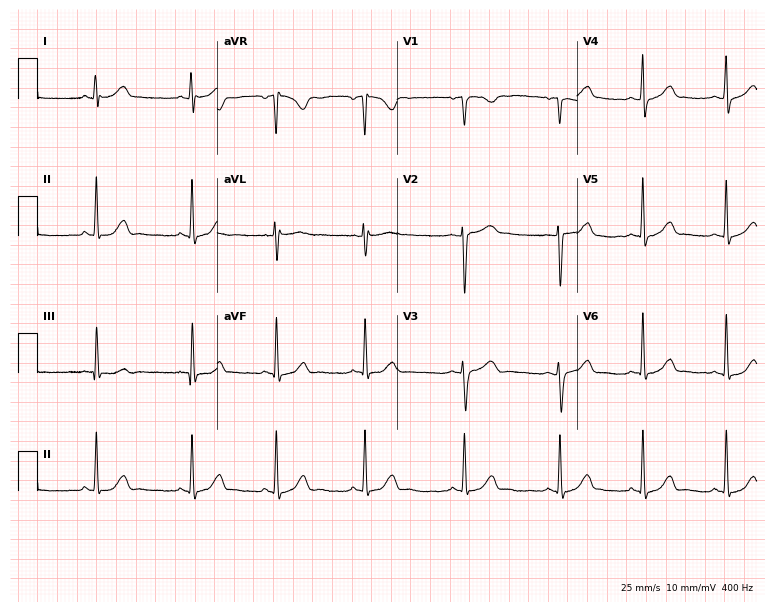
Standard 12-lead ECG recorded from a female, 31 years old. Read as a normal ECG.